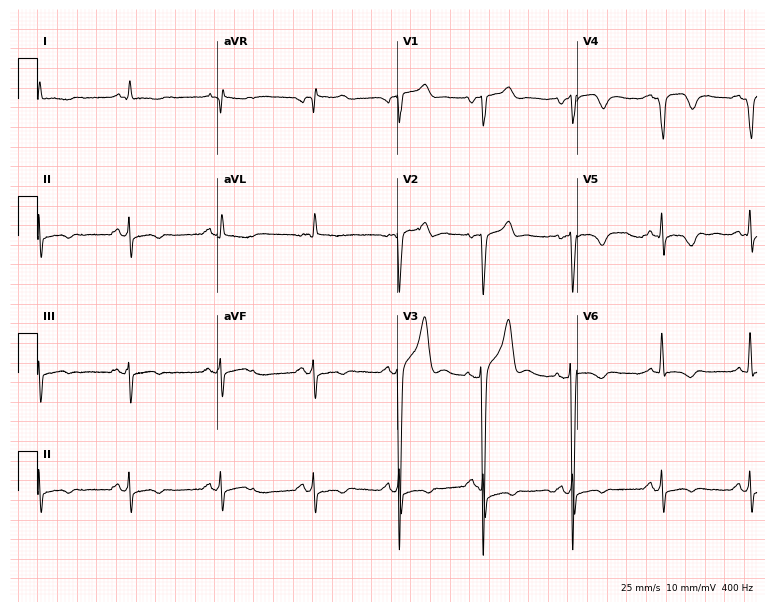
12-lead ECG from a man, 54 years old. No first-degree AV block, right bundle branch block, left bundle branch block, sinus bradycardia, atrial fibrillation or sinus tachycardia recorded for this tracing. Only these six findings were labelled.